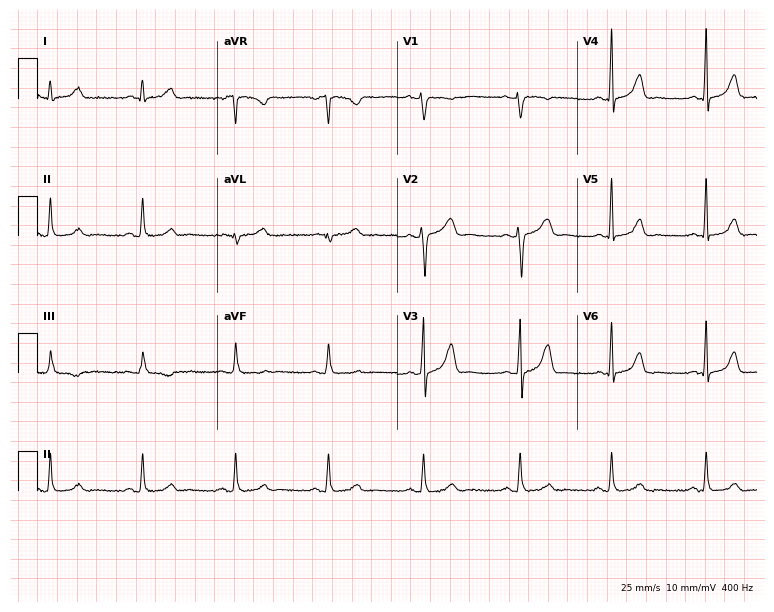
12-lead ECG from a female patient, 38 years old. No first-degree AV block, right bundle branch block (RBBB), left bundle branch block (LBBB), sinus bradycardia, atrial fibrillation (AF) or sinus tachycardia recorded for this tracing. Only these six findings were labelled.